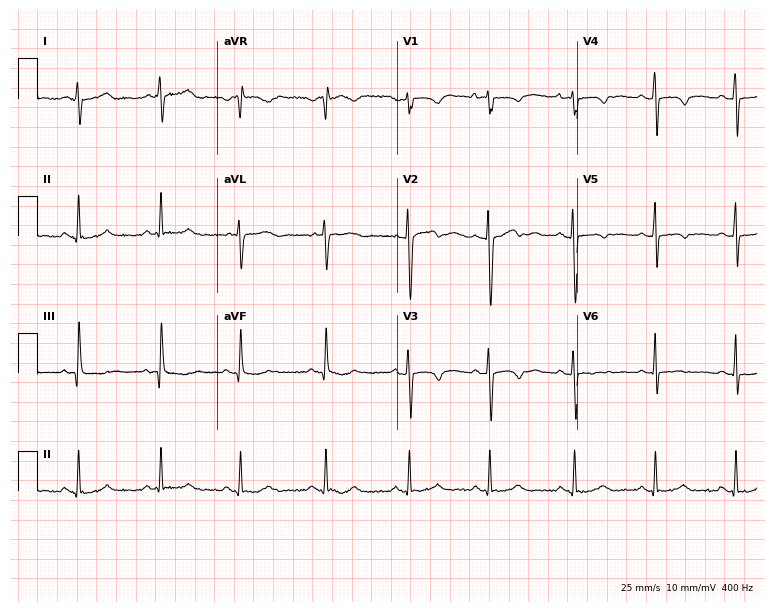
Electrocardiogram (7.3-second recording at 400 Hz), a female patient, 21 years old. Overall reading on record: normal ECG.